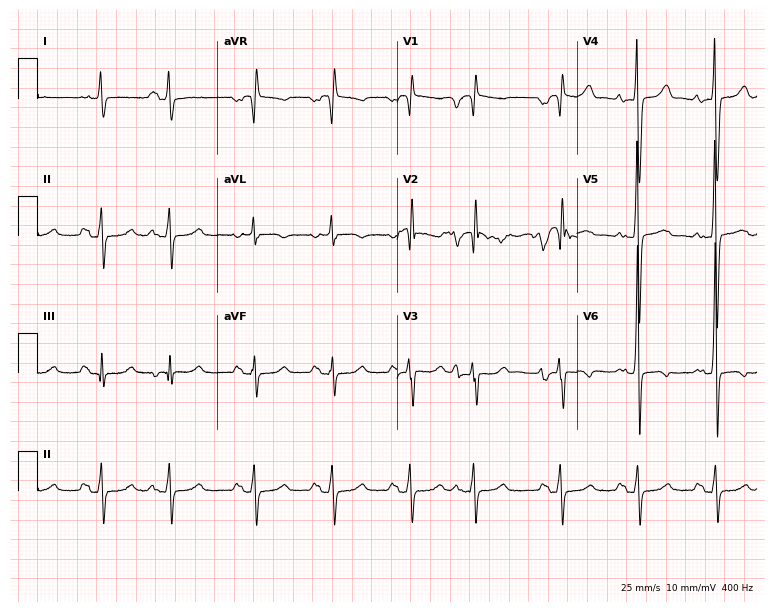
Electrocardiogram, a 23-year-old male patient. Overall reading on record: normal ECG.